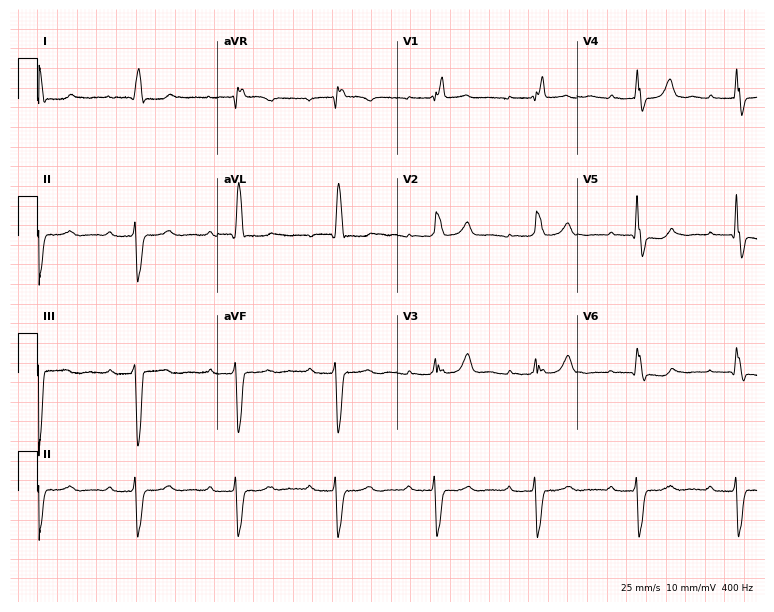
12-lead ECG (7.3-second recording at 400 Hz) from a 71-year-old male. Findings include first-degree AV block, right bundle branch block (RBBB).